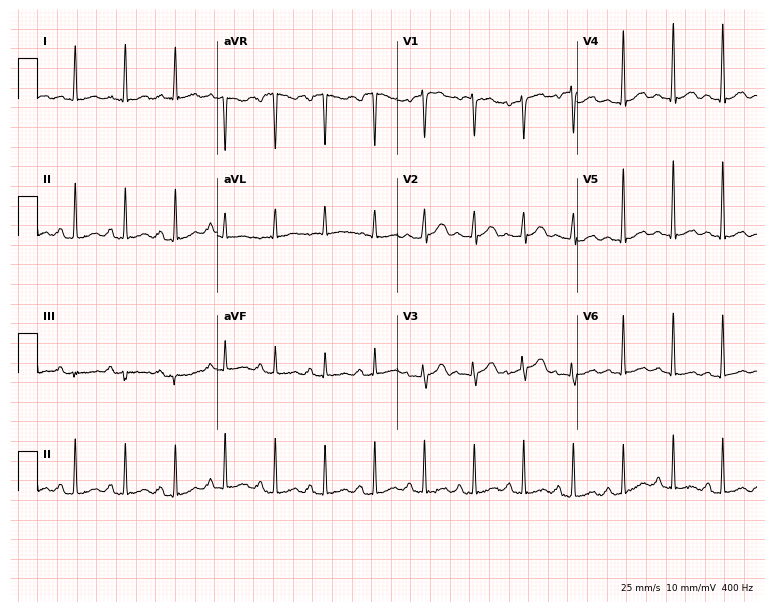
Electrocardiogram (7.3-second recording at 400 Hz), a female, 45 years old. Interpretation includes sinus tachycardia (a sinus rate of 100 beats per minute or more).